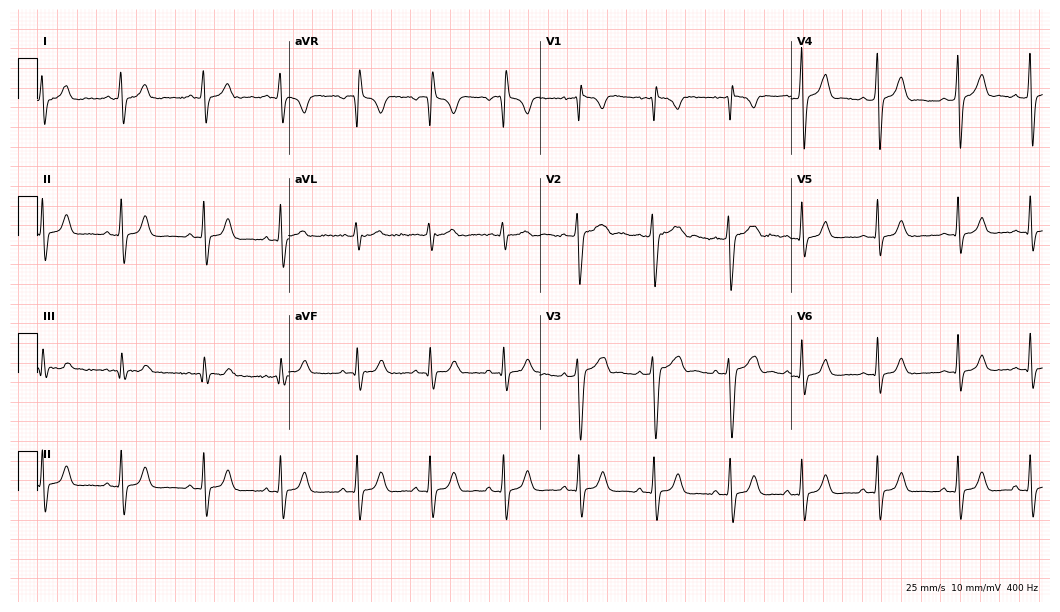
Standard 12-lead ECG recorded from a man, 19 years old (10.2-second recording at 400 Hz). None of these six findings is recorded: first-degree AV block, right bundle branch block, left bundle branch block, sinus bradycardia, atrial fibrillation, sinus tachycardia. Findings outside these six are not listed.